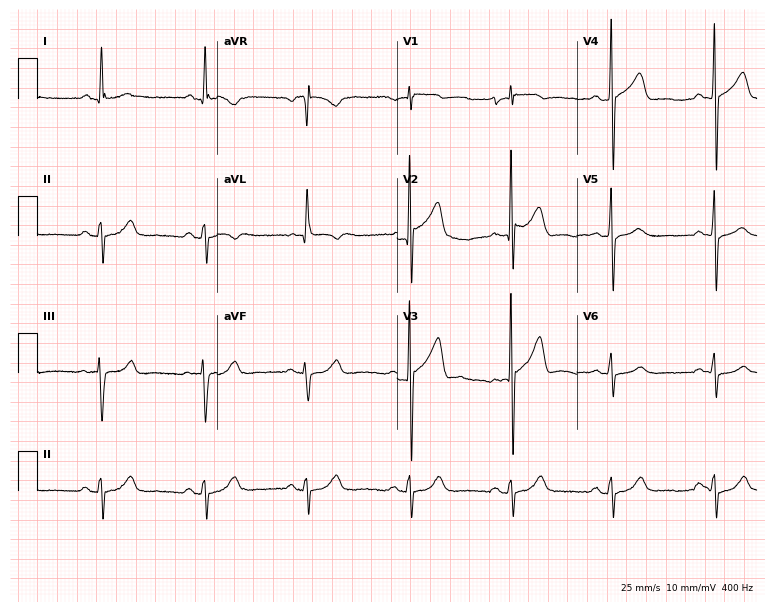
12-lead ECG from a 70-year-old man. No first-degree AV block, right bundle branch block, left bundle branch block, sinus bradycardia, atrial fibrillation or sinus tachycardia recorded for this tracing.